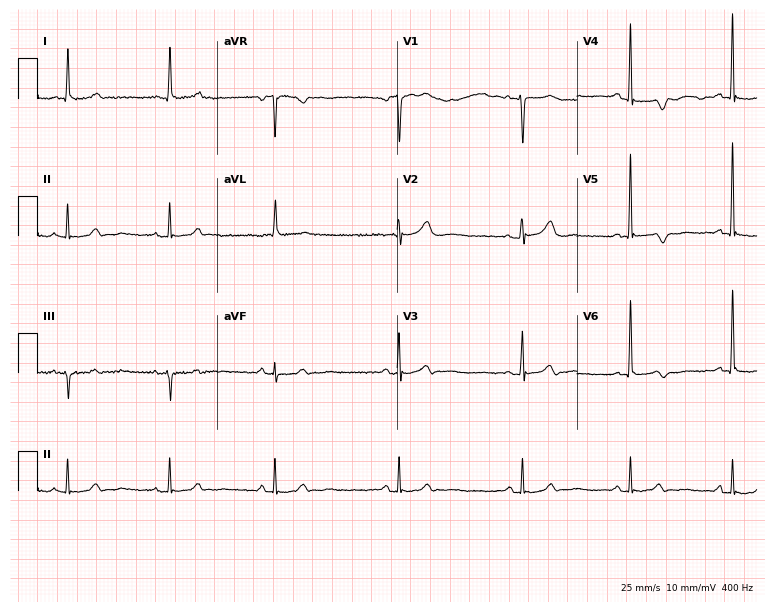
Electrocardiogram (7.3-second recording at 400 Hz), an 81-year-old female patient. Of the six screened findings (first-degree AV block, right bundle branch block, left bundle branch block, sinus bradycardia, atrial fibrillation, sinus tachycardia), none is recorded.